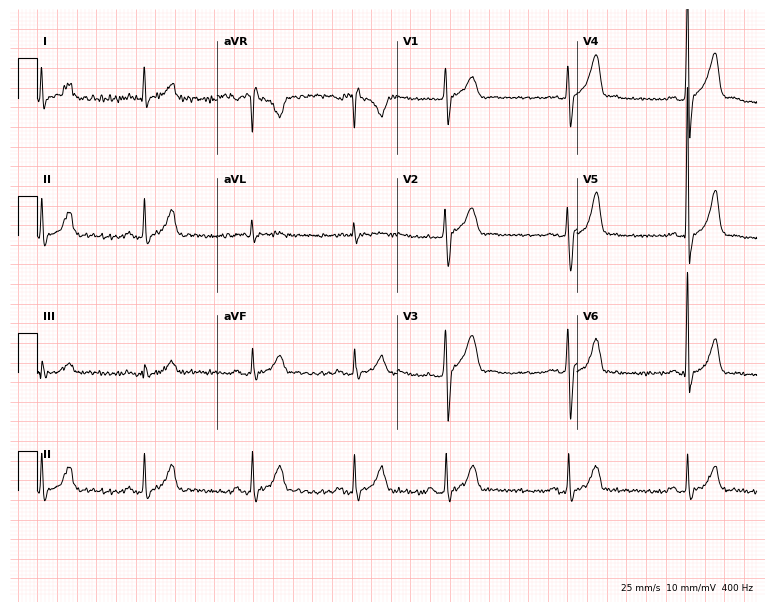
Electrocardiogram, a 31-year-old male. Overall reading on record: normal ECG.